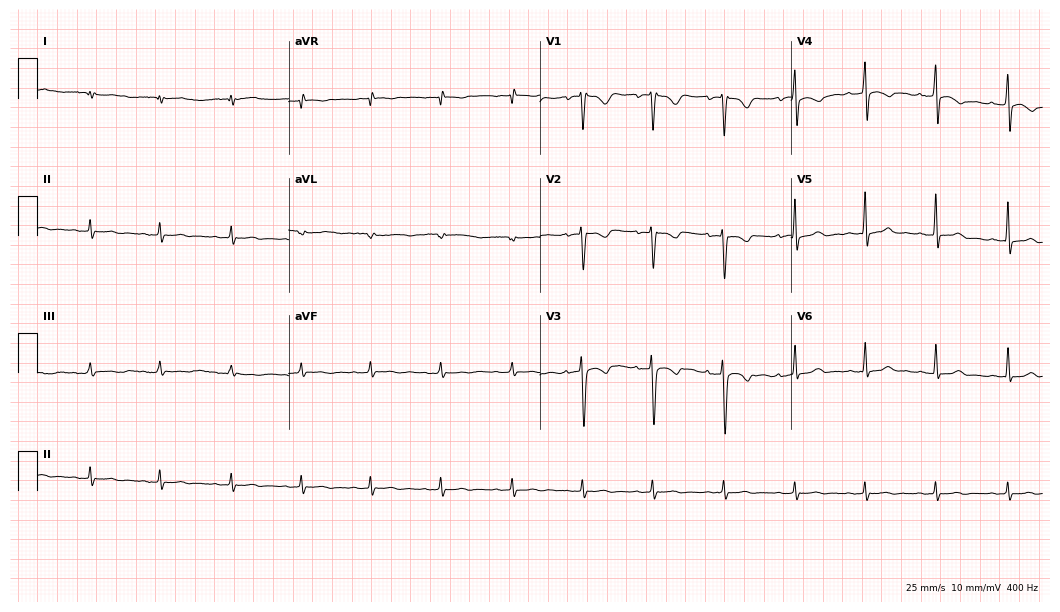
Standard 12-lead ECG recorded from a 31-year-old female patient. Read as a normal ECG.